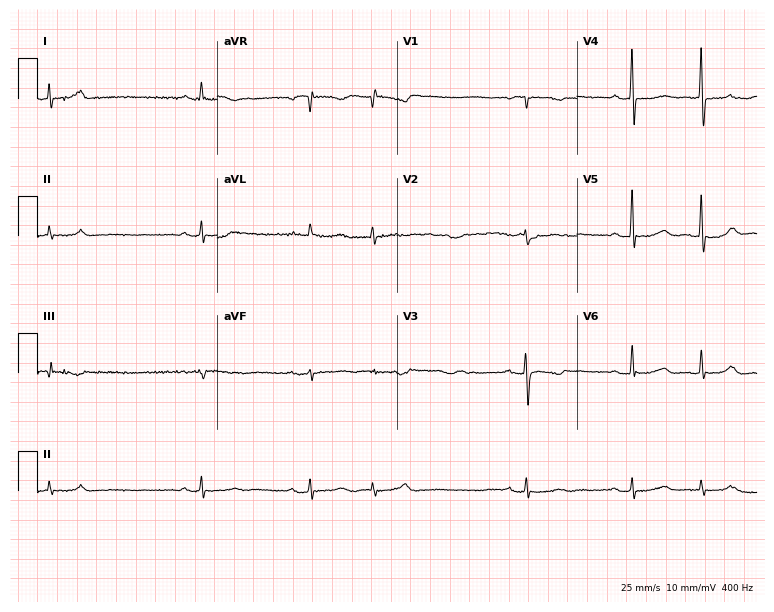
ECG — a 68-year-old female. Screened for six findings — first-degree AV block, right bundle branch block (RBBB), left bundle branch block (LBBB), sinus bradycardia, atrial fibrillation (AF), sinus tachycardia — none is recorded.